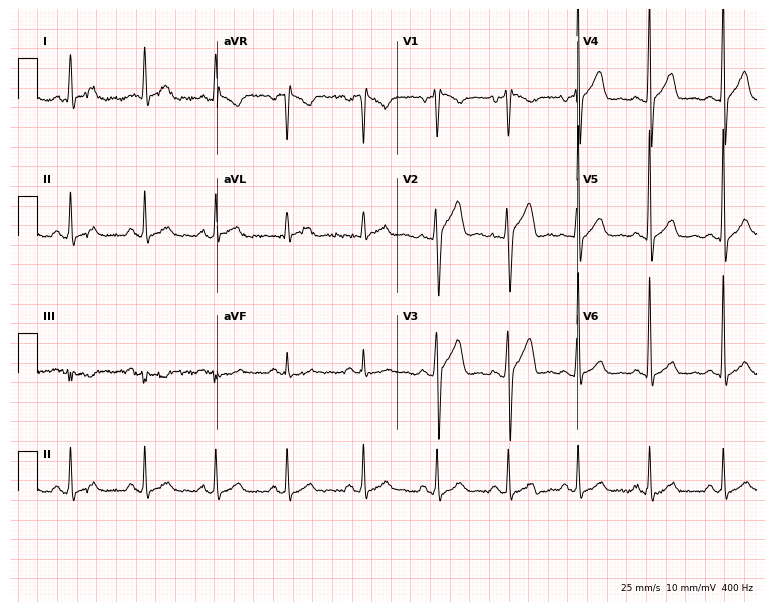
ECG (7.3-second recording at 400 Hz) — a 40-year-old male. Labelled as a normal ECG.